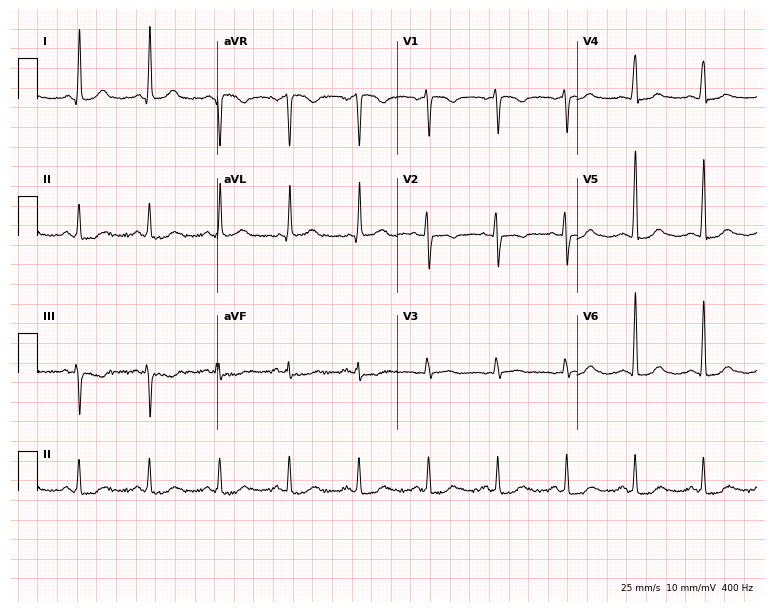
12-lead ECG from a 70-year-old female patient (7.3-second recording at 400 Hz). No first-degree AV block, right bundle branch block, left bundle branch block, sinus bradycardia, atrial fibrillation or sinus tachycardia recorded for this tracing. Other findings, if any, are not listed.